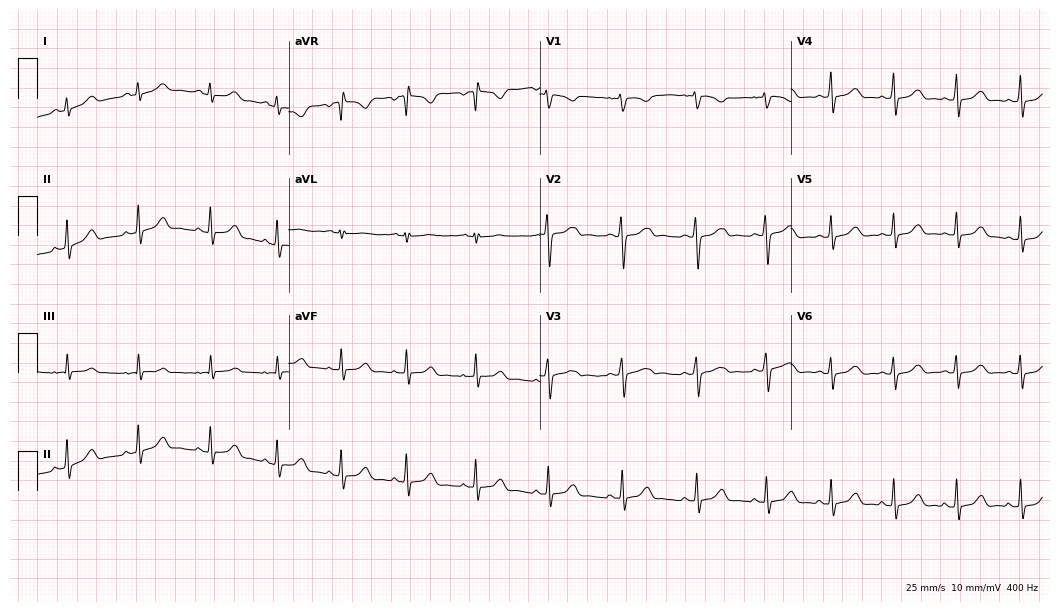
Resting 12-lead electrocardiogram (10.2-second recording at 400 Hz). Patient: a female, 21 years old. None of these six findings is recorded: first-degree AV block, right bundle branch block, left bundle branch block, sinus bradycardia, atrial fibrillation, sinus tachycardia. Findings outside these six are not listed.